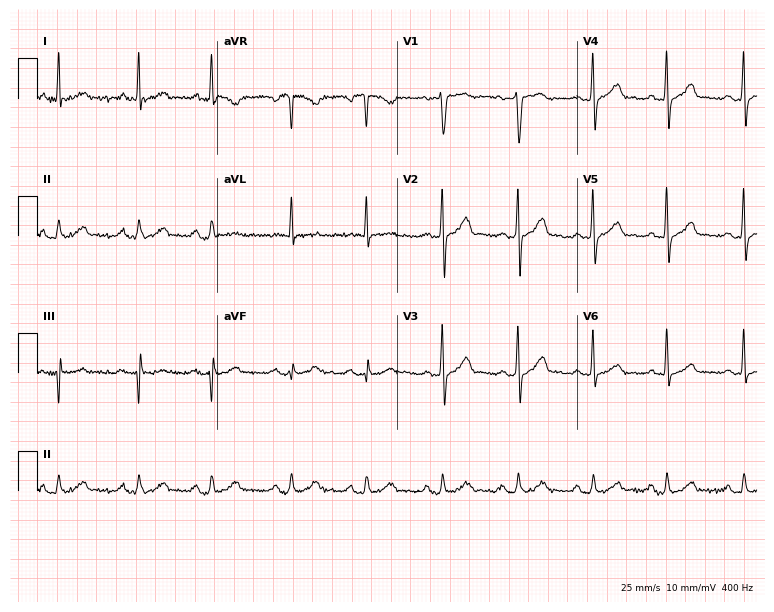
ECG — a man, 62 years old. Labelled as a normal ECG.